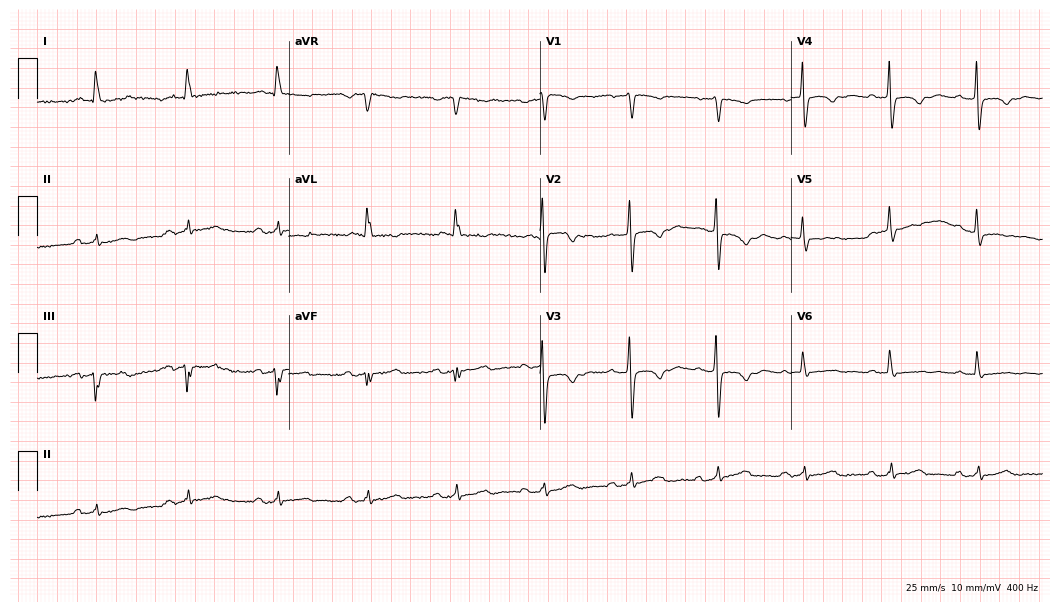
12-lead ECG from an 81-year-old female patient. Screened for six findings — first-degree AV block, right bundle branch block, left bundle branch block, sinus bradycardia, atrial fibrillation, sinus tachycardia — none is recorded. Other findings, if any, are not listed.